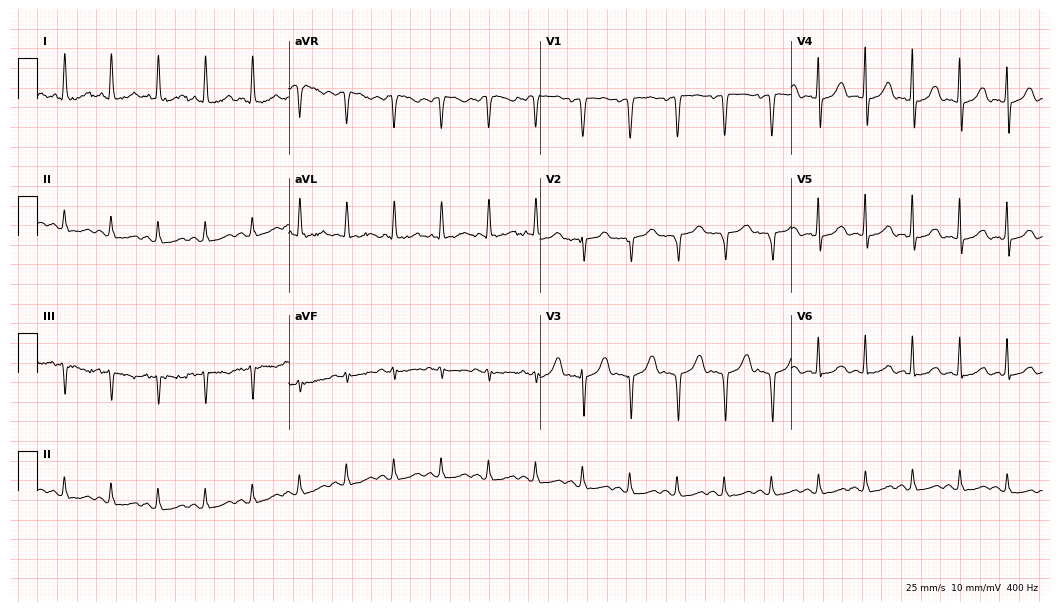
12-lead ECG (10.2-second recording at 400 Hz) from a woman, 44 years old. Findings include sinus tachycardia (a sinus rate of 100 beats per minute or more).